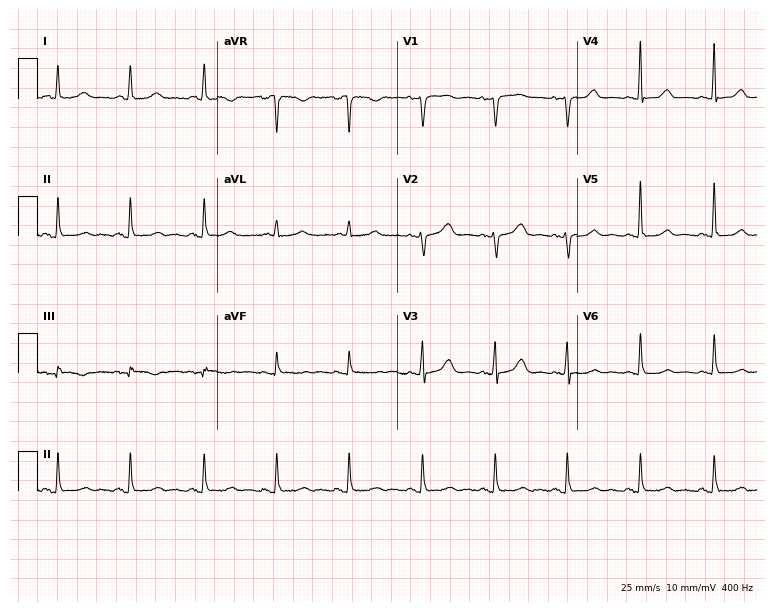
Resting 12-lead electrocardiogram (7.3-second recording at 400 Hz). Patient: an 82-year-old man. None of these six findings is recorded: first-degree AV block, right bundle branch block, left bundle branch block, sinus bradycardia, atrial fibrillation, sinus tachycardia. Other findings, if any, are not listed.